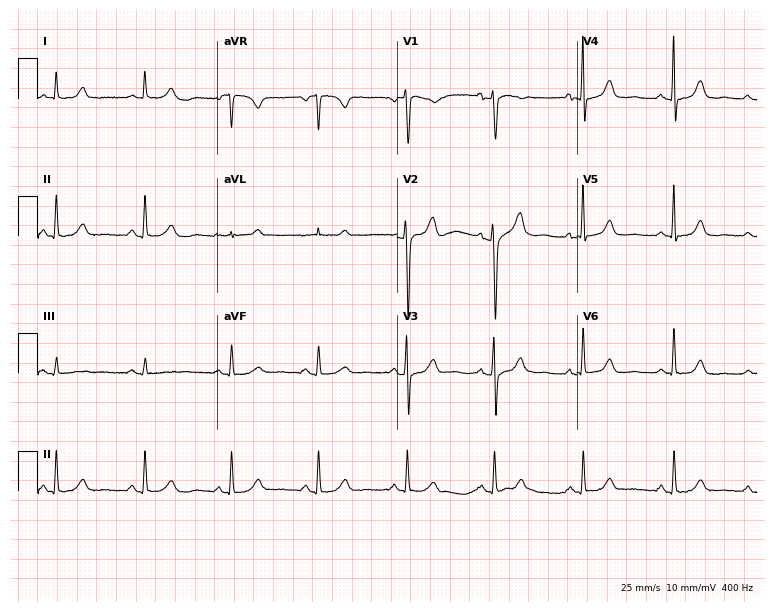
Electrocardiogram (7.3-second recording at 400 Hz), a female patient, 79 years old. Overall reading on record: normal ECG.